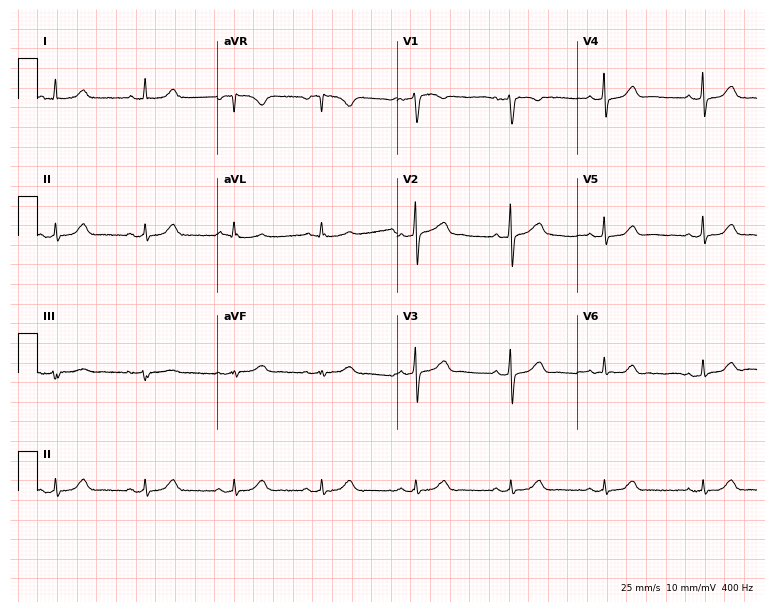
12-lead ECG from a female patient, 67 years old. Labelled as a normal ECG.